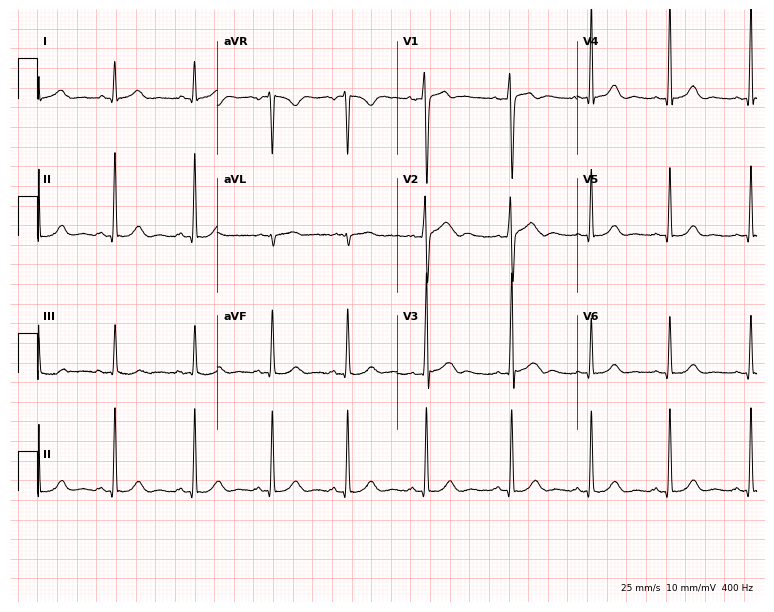
Electrocardiogram (7.3-second recording at 400 Hz), a man, 27 years old. Of the six screened findings (first-degree AV block, right bundle branch block (RBBB), left bundle branch block (LBBB), sinus bradycardia, atrial fibrillation (AF), sinus tachycardia), none is recorded.